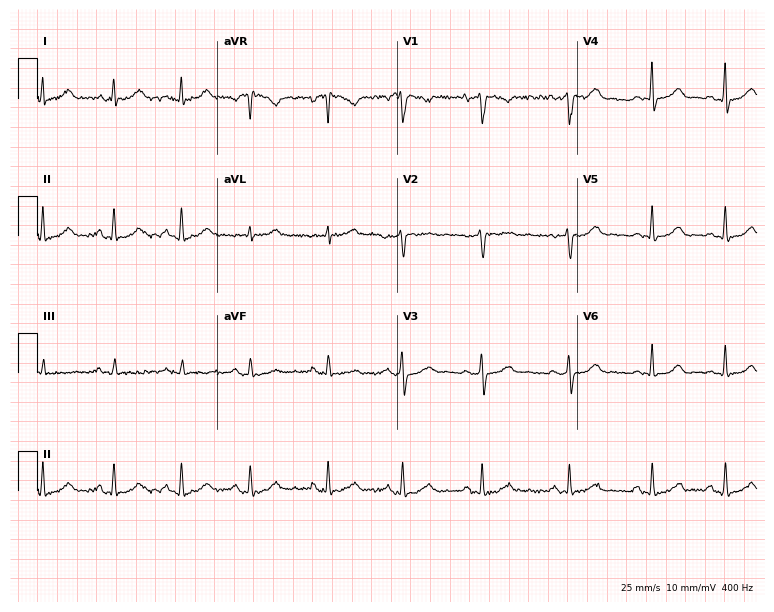
Standard 12-lead ECG recorded from a female, 34 years old (7.3-second recording at 400 Hz). Read as a normal ECG.